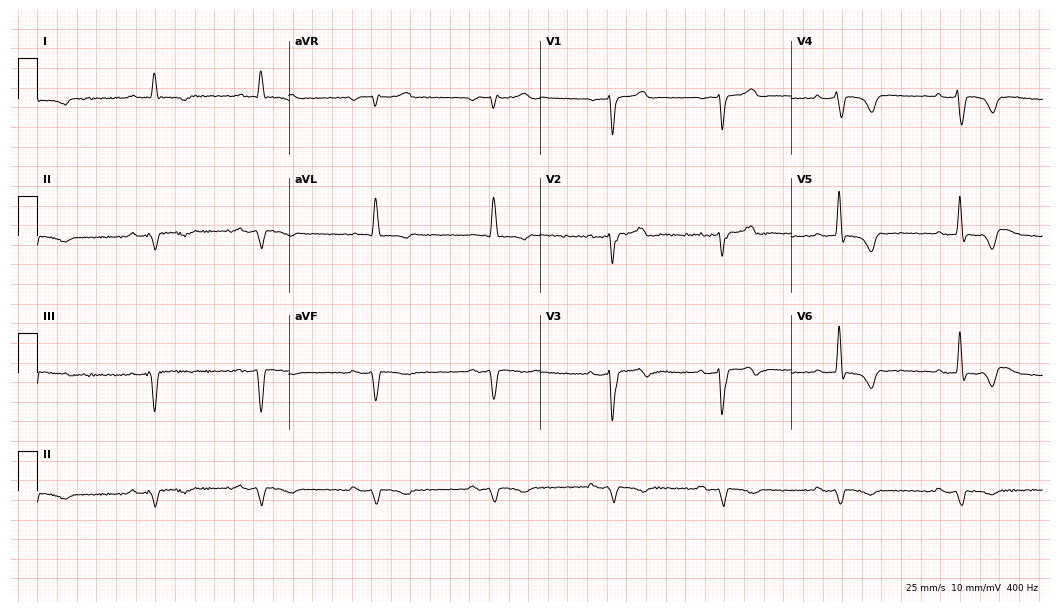
Standard 12-lead ECG recorded from a 59-year-old male (10.2-second recording at 400 Hz). The tracing shows first-degree AV block, left bundle branch block (LBBB).